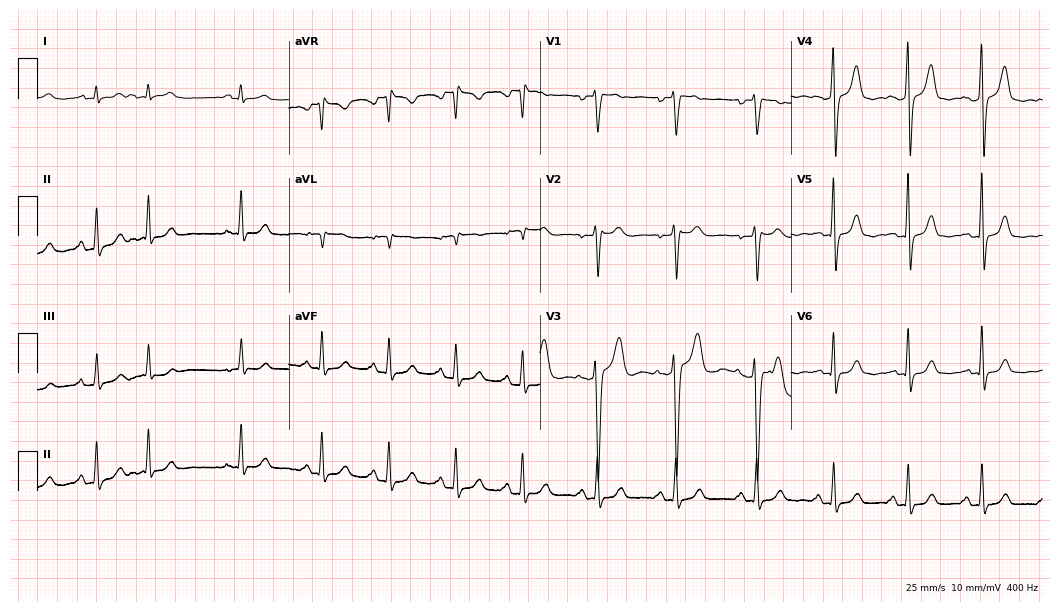
12-lead ECG (10.2-second recording at 400 Hz) from a 43-year-old male patient. Screened for six findings — first-degree AV block, right bundle branch block (RBBB), left bundle branch block (LBBB), sinus bradycardia, atrial fibrillation (AF), sinus tachycardia — none is recorded. Only these six findings were labelled.